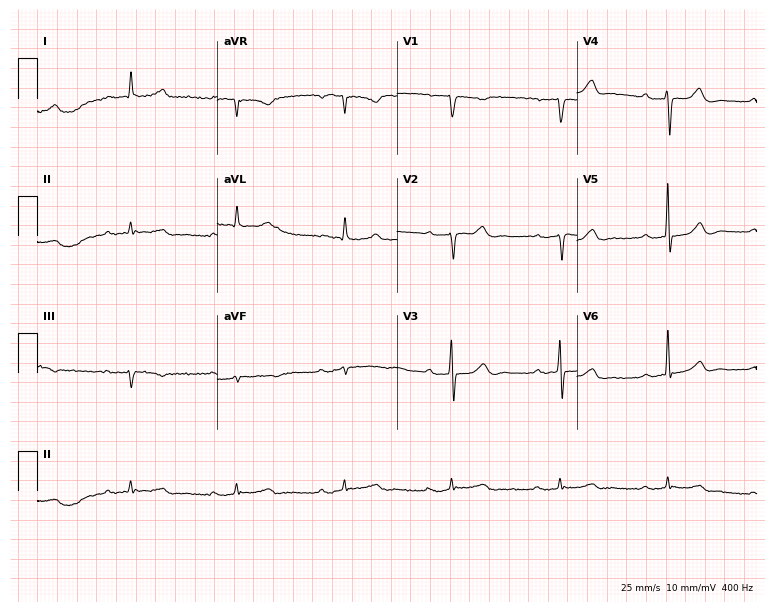
Resting 12-lead electrocardiogram. Patient: a 77-year-old man. None of these six findings is recorded: first-degree AV block, right bundle branch block, left bundle branch block, sinus bradycardia, atrial fibrillation, sinus tachycardia. Only these six findings were labelled.